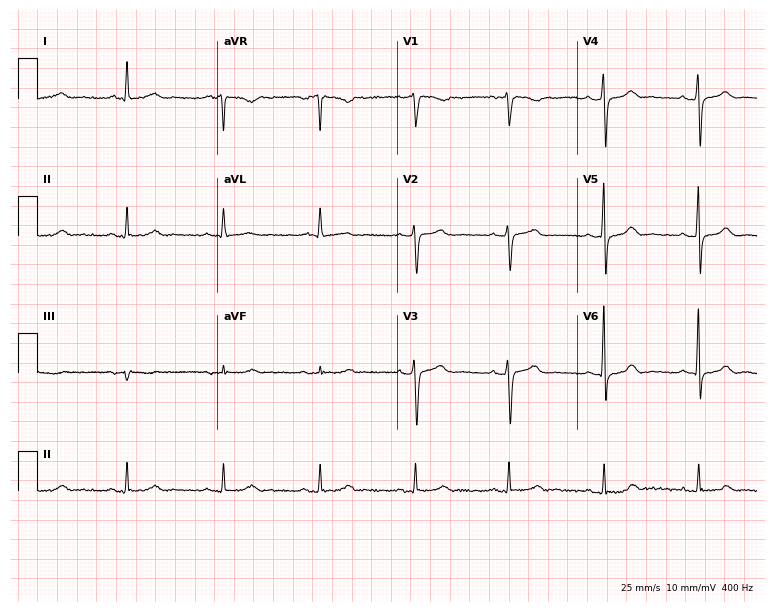
12-lead ECG from a woman, 53 years old (7.3-second recording at 400 Hz). Recorded interpretation: within normal limits.